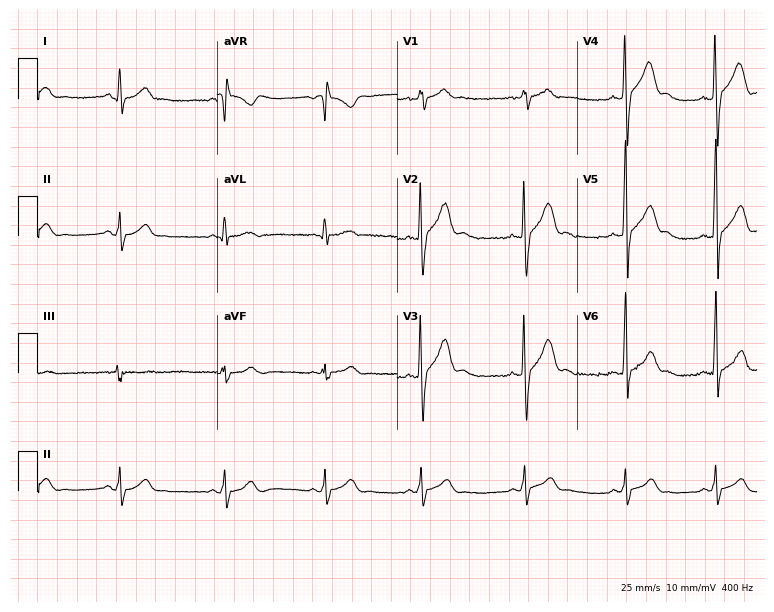
12-lead ECG from a 21-year-old male. Recorded interpretation: within normal limits.